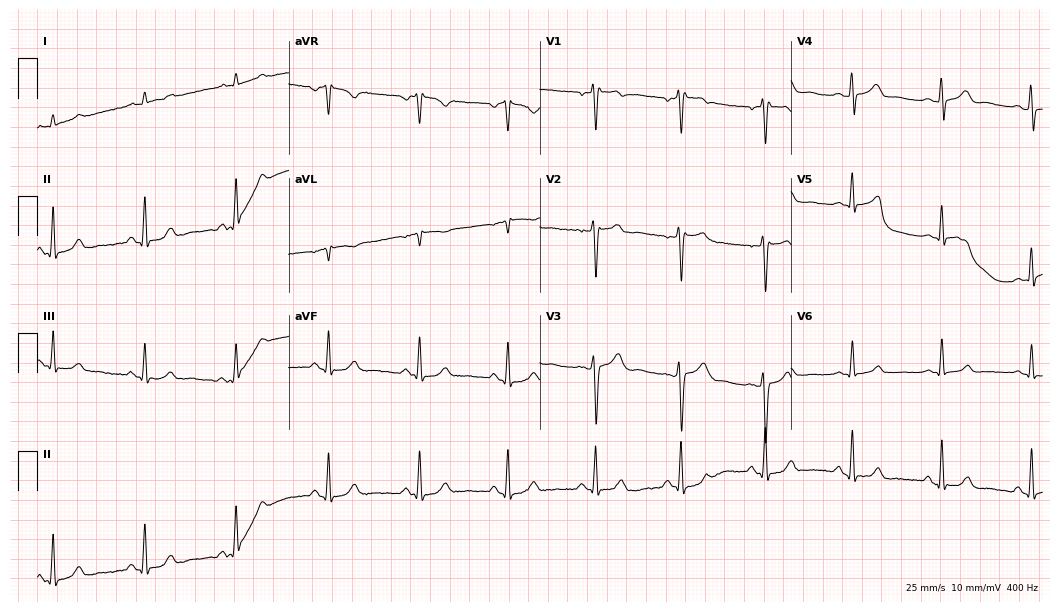
Standard 12-lead ECG recorded from a man, 37 years old (10.2-second recording at 400 Hz). Read as a normal ECG.